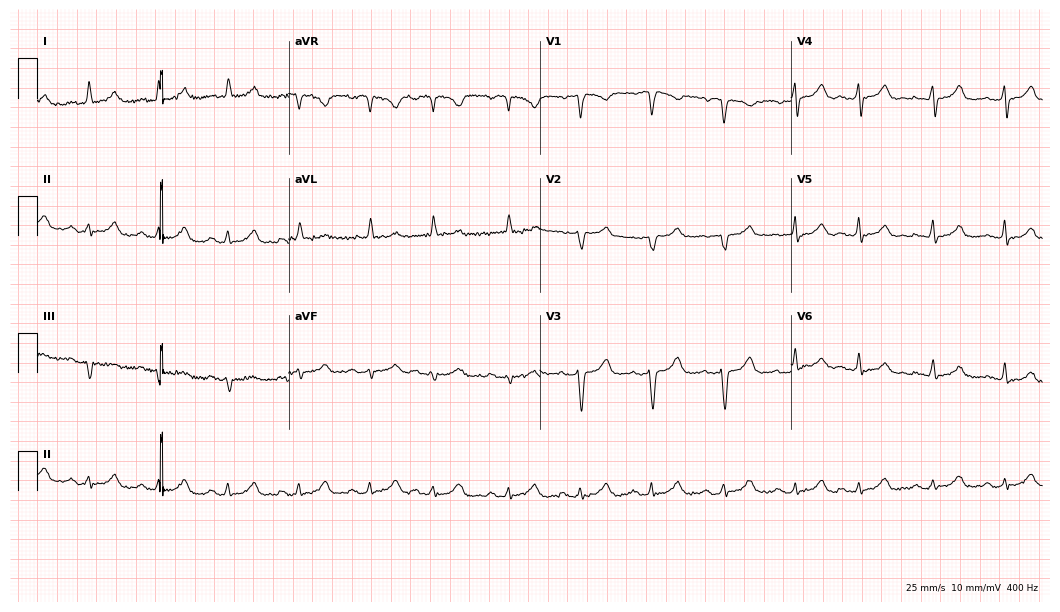
Standard 12-lead ECG recorded from a woman, 74 years old (10.2-second recording at 400 Hz). None of these six findings is recorded: first-degree AV block, right bundle branch block (RBBB), left bundle branch block (LBBB), sinus bradycardia, atrial fibrillation (AF), sinus tachycardia. Only these six findings were labelled.